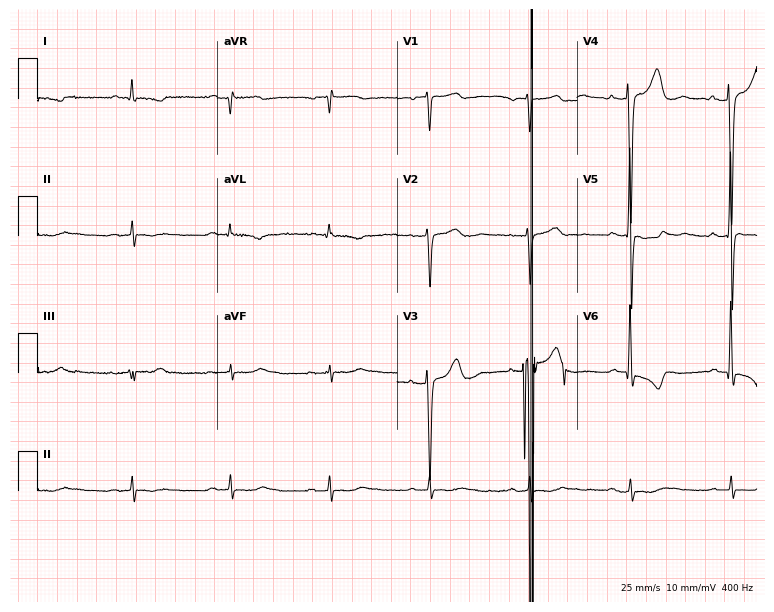
Standard 12-lead ECG recorded from a 68-year-old man. None of these six findings is recorded: first-degree AV block, right bundle branch block, left bundle branch block, sinus bradycardia, atrial fibrillation, sinus tachycardia.